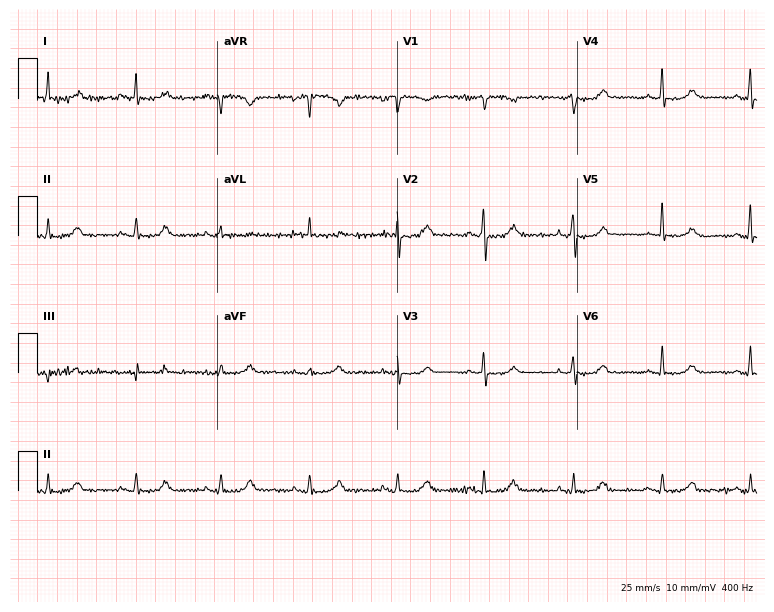
ECG — a 70-year-old female. Labelled as a normal ECG.